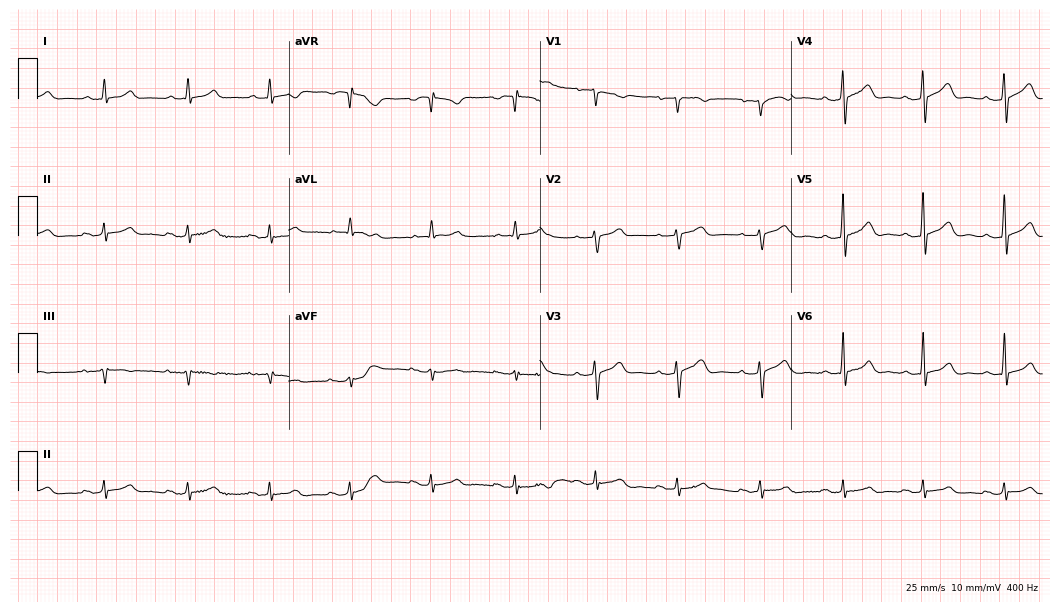
Standard 12-lead ECG recorded from a 66-year-old male. Read as a normal ECG.